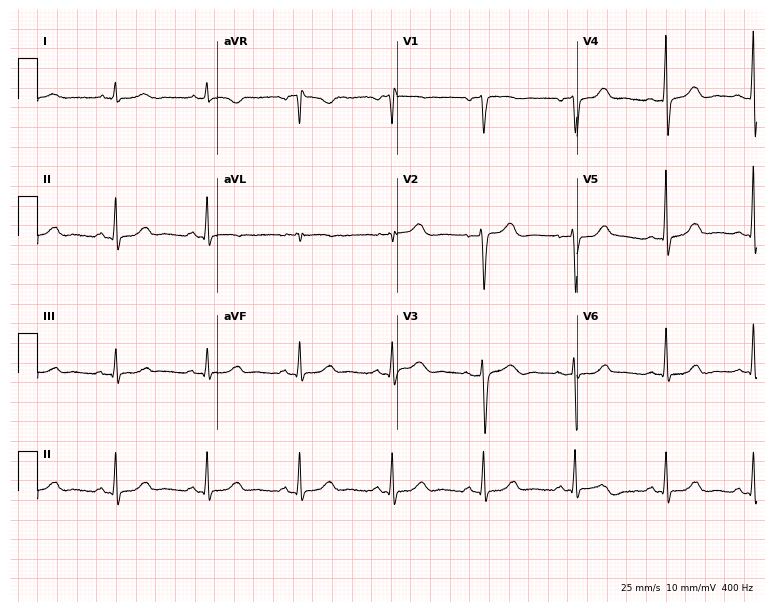
12-lead ECG (7.3-second recording at 400 Hz) from a 44-year-old male. Labelled as a normal ECG.